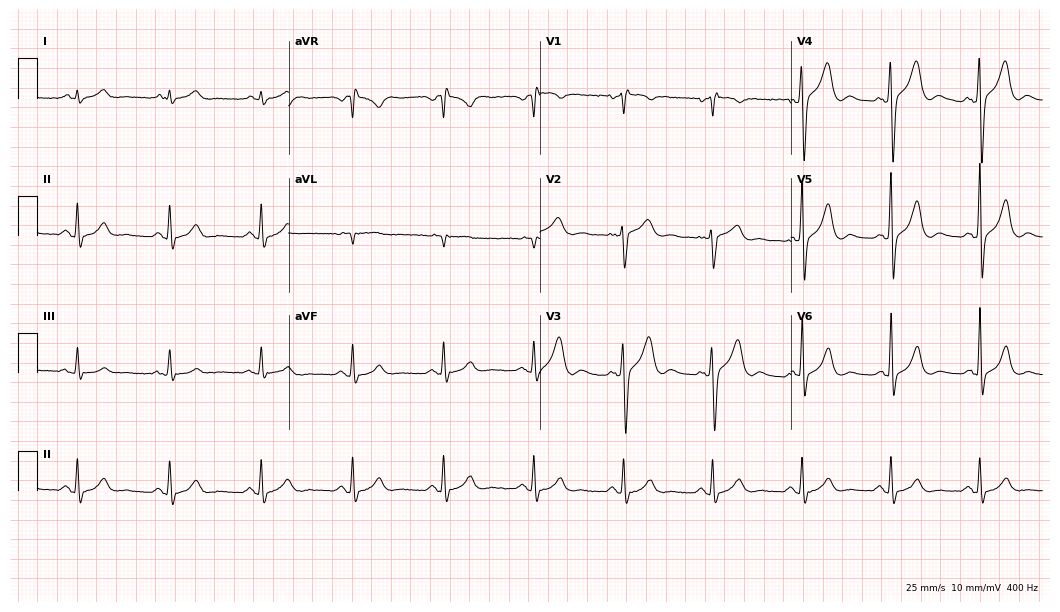
12-lead ECG (10.2-second recording at 400 Hz) from a 58-year-old male. Screened for six findings — first-degree AV block, right bundle branch block (RBBB), left bundle branch block (LBBB), sinus bradycardia, atrial fibrillation (AF), sinus tachycardia — none is recorded. Only these six findings were labelled.